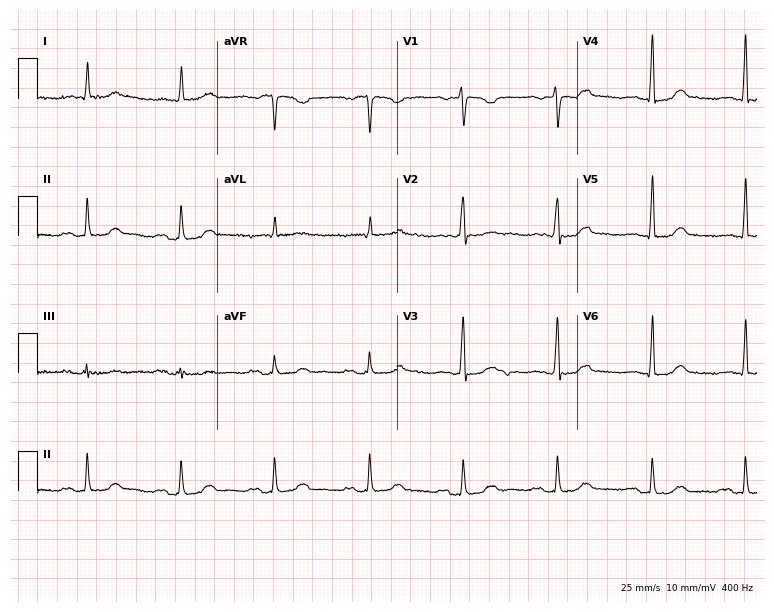
12-lead ECG from a 66-year-old female (7.3-second recording at 400 Hz). Shows first-degree AV block.